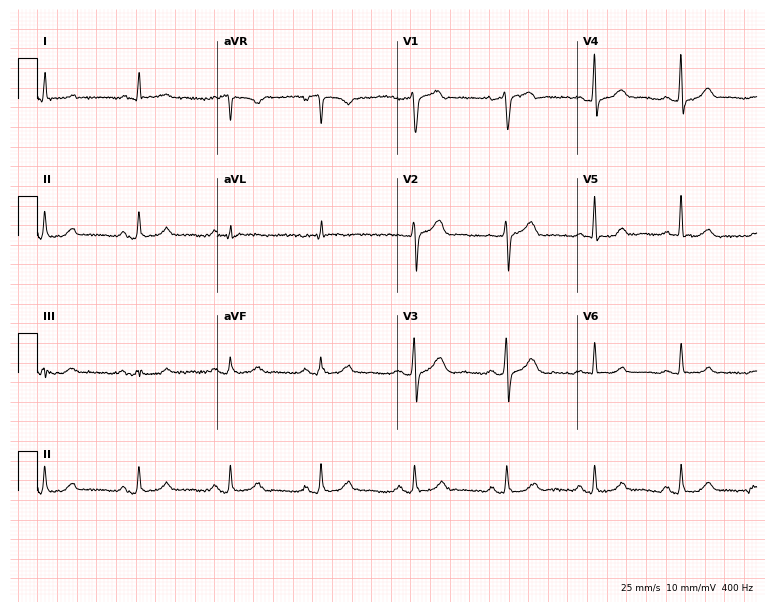
Standard 12-lead ECG recorded from a 46-year-old male (7.3-second recording at 400 Hz). Read as a normal ECG.